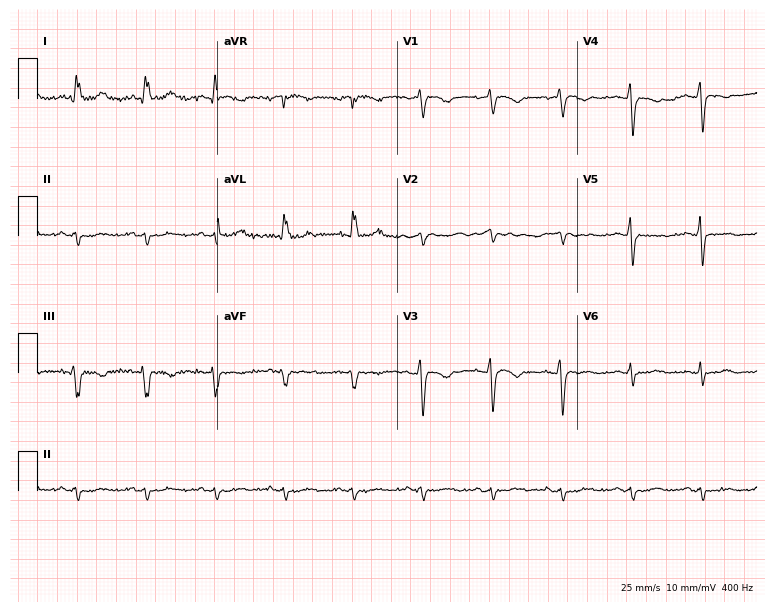
Resting 12-lead electrocardiogram (7.3-second recording at 400 Hz). Patient: a woman, 58 years old. None of these six findings is recorded: first-degree AV block, right bundle branch block, left bundle branch block, sinus bradycardia, atrial fibrillation, sinus tachycardia. Findings outside these six are not listed.